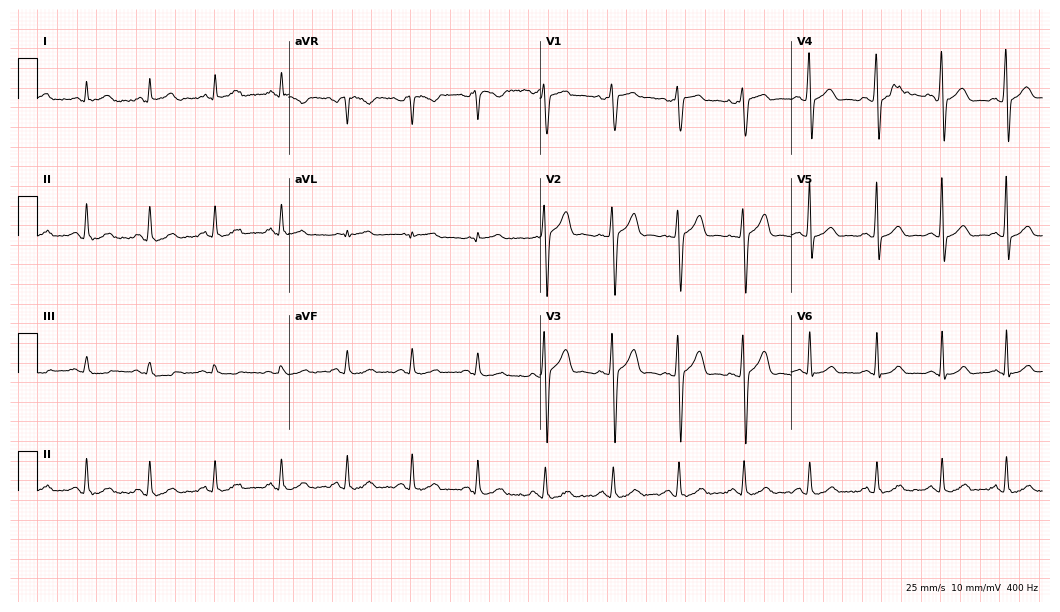
Resting 12-lead electrocardiogram. Patient: a 39-year-old male. Read as a normal ECG.